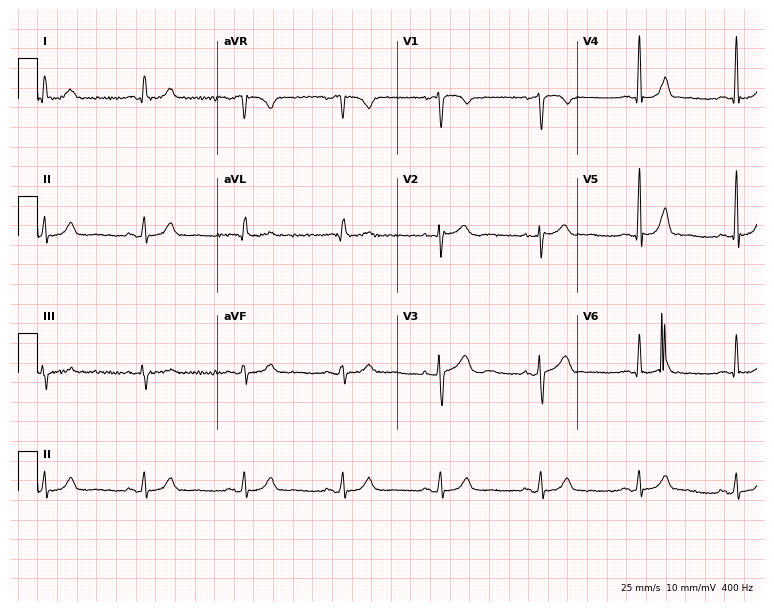
Standard 12-lead ECG recorded from a man, 71 years old (7.3-second recording at 400 Hz). Read as a normal ECG.